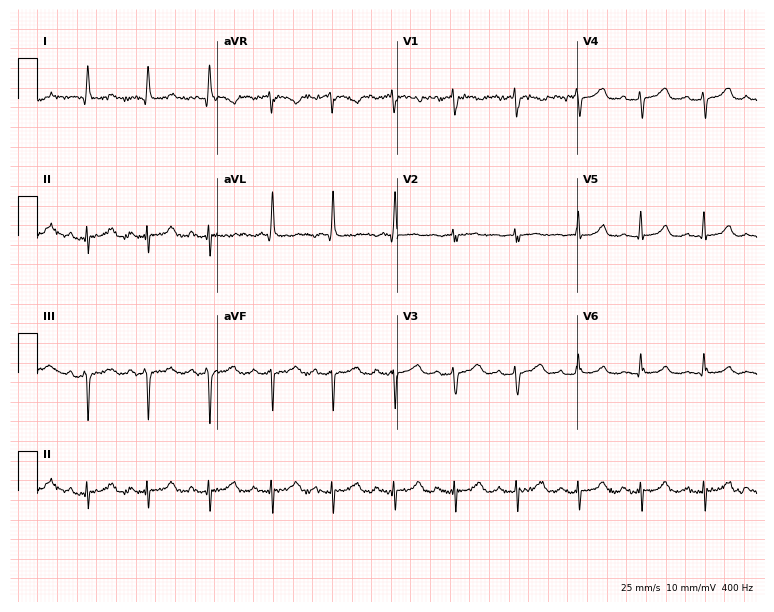
ECG (7.3-second recording at 400 Hz) — a 79-year-old female. Screened for six findings — first-degree AV block, right bundle branch block, left bundle branch block, sinus bradycardia, atrial fibrillation, sinus tachycardia — none is recorded. Other findings, if any, are not listed.